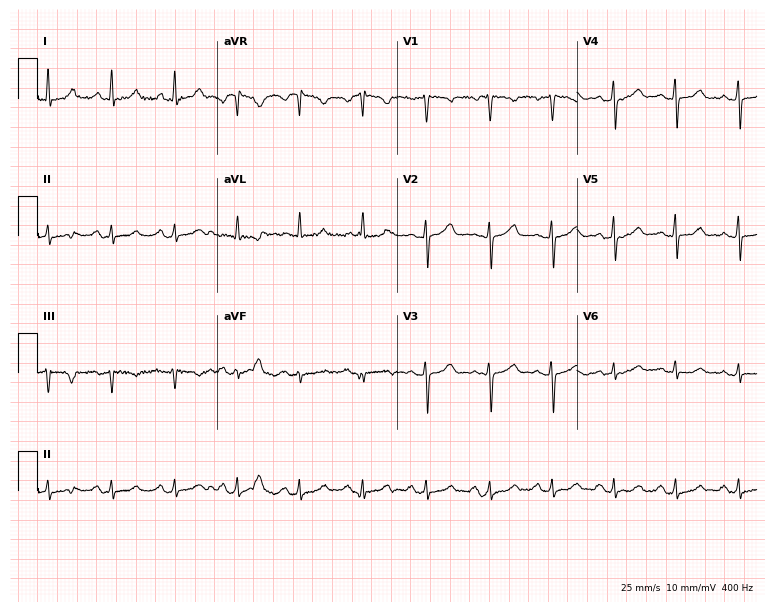
12-lead ECG from a female, 44 years old. Screened for six findings — first-degree AV block, right bundle branch block, left bundle branch block, sinus bradycardia, atrial fibrillation, sinus tachycardia — none is recorded. Findings outside these six are not listed.